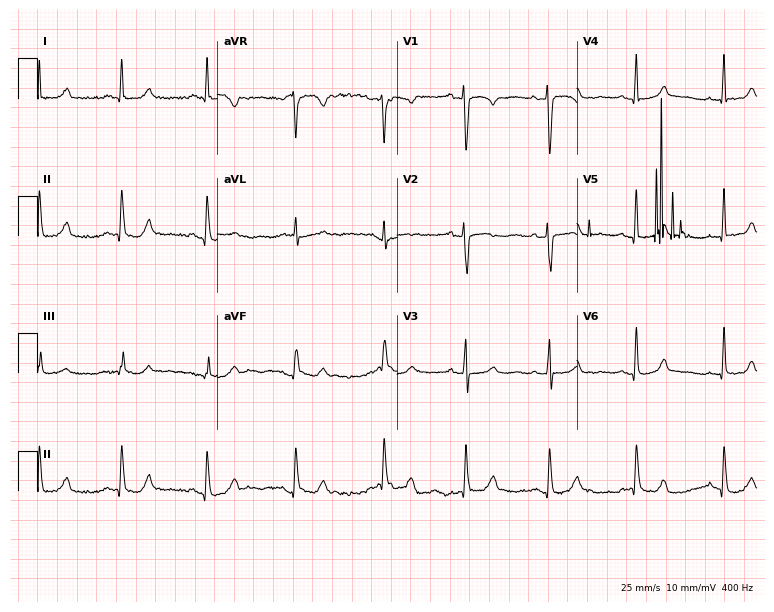
12-lead ECG (7.3-second recording at 400 Hz) from a 50-year-old female patient. Labelled as a normal ECG.